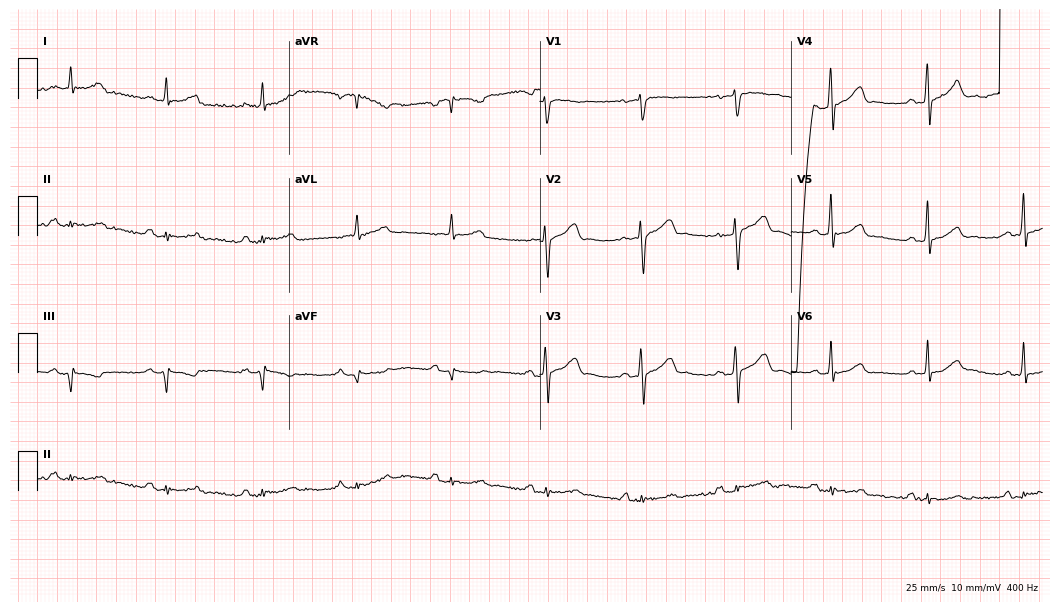
12-lead ECG (10.2-second recording at 400 Hz) from a 54-year-old male patient. Screened for six findings — first-degree AV block, right bundle branch block, left bundle branch block, sinus bradycardia, atrial fibrillation, sinus tachycardia — none is recorded. Only these six findings were labelled.